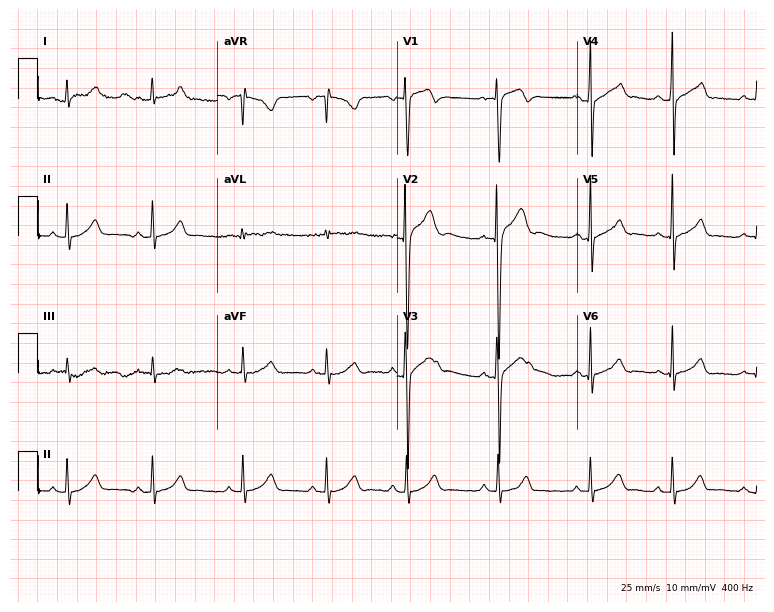
12-lead ECG from a 20-year-old male (7.3-second recording at 400 Hz). Recorded interpretation: within normal limits.